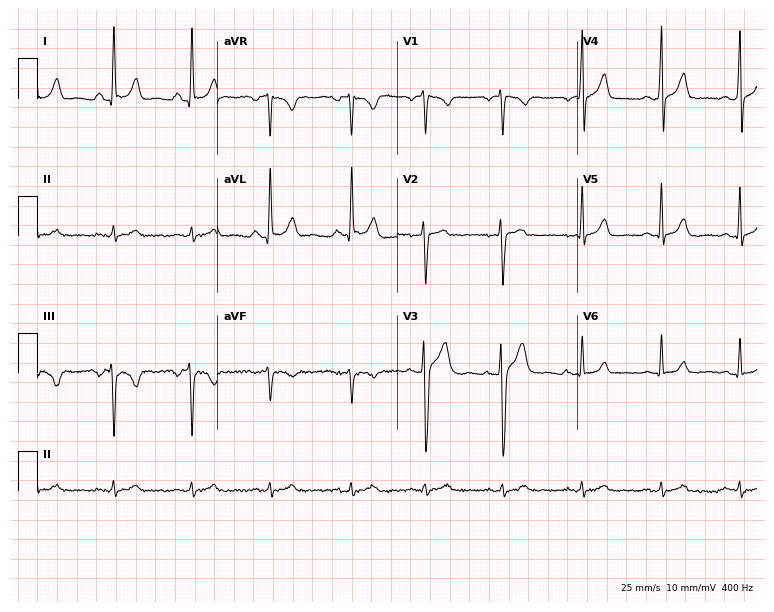
12-lead ECG (7.3-second recording at 400 Hz) from a 38-year-old male. Labelled as a normal ECG.